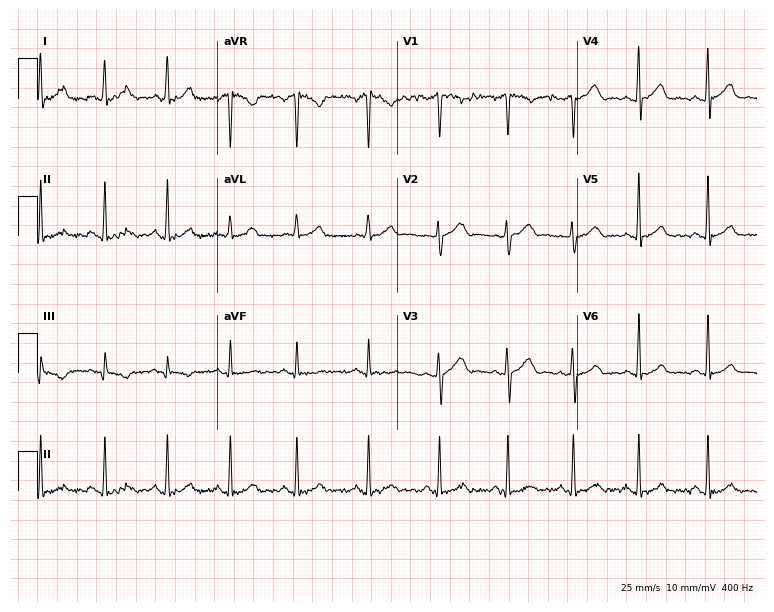
Electrocardiogram (7.3-second recording at 400 Hz), a female patient, 37 years old. Of the six screened findings (first-degree AV block, right bundle branch block, left bundle branch block, sinus bradycardia, atrial fibrillation, sinus tachycardia), none is recorded.